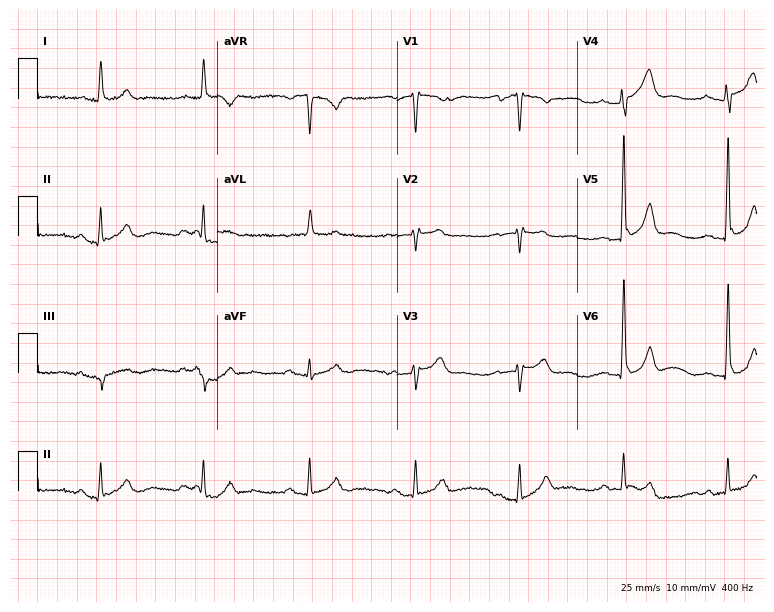
ECG — a 66-year-old male. Labelled as a normal ECG.